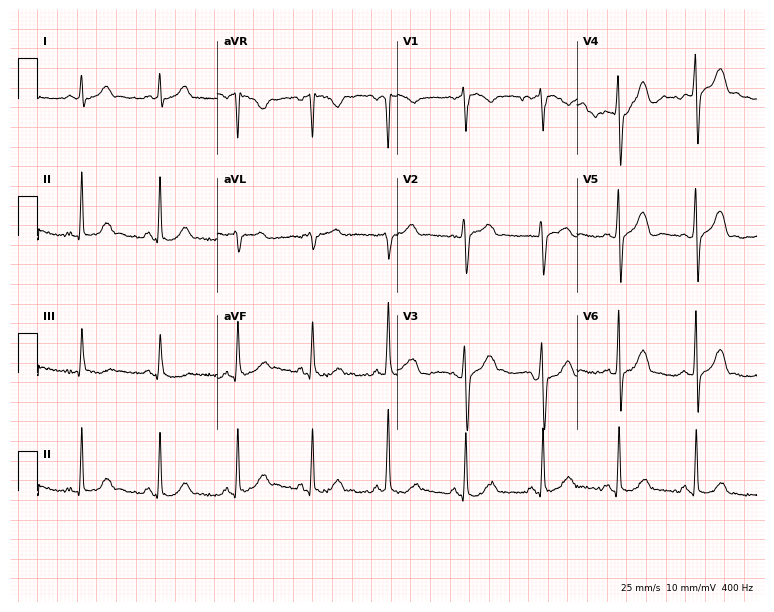
Electrocardiogram (7.3-second recording at 400 Hz), a male patient, 32 years old. Overall reading on record: normal ECG.